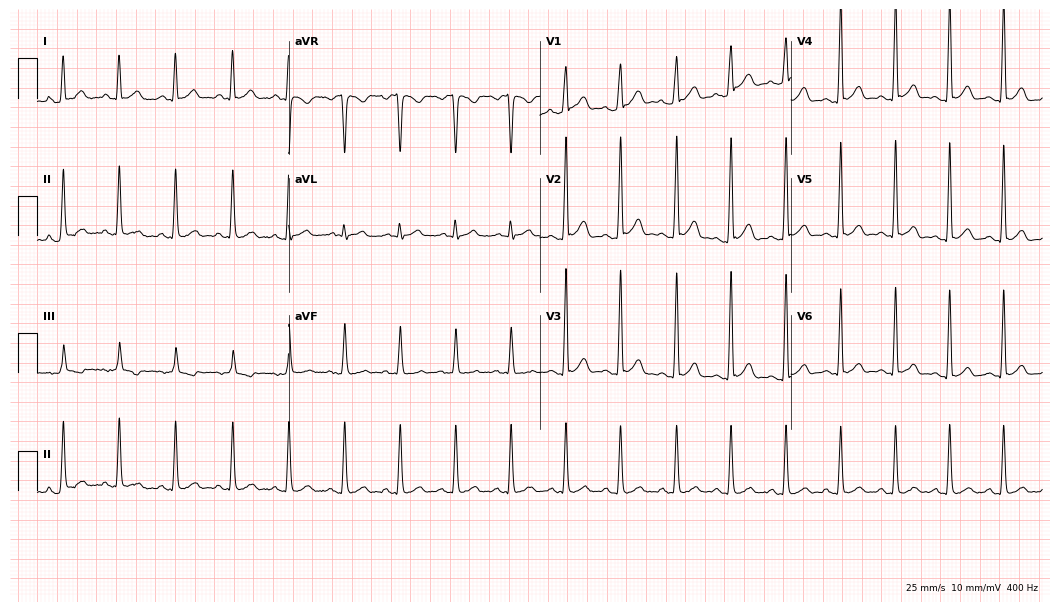
ECG (10.2-second recording at 400 Hz) — a 27-year-old male patient. Findings include sinus tachycardia (a sinus rate of 100 beats per minute or more).